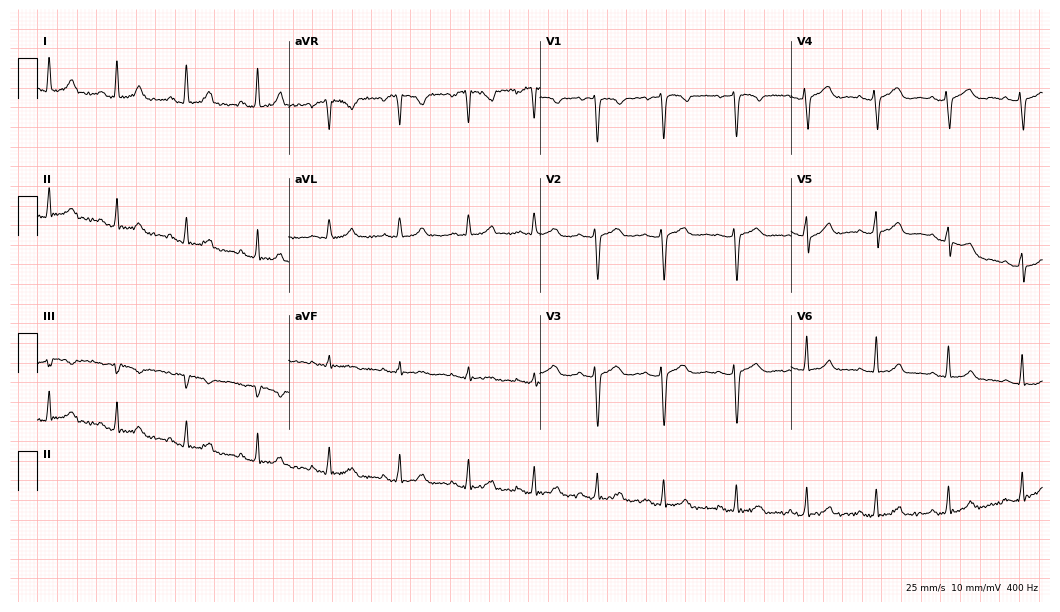
Electrocardiogram (10.2-second recording at 400 Hz), a woman, 39 years old. Overall reading on record: normal ECG.